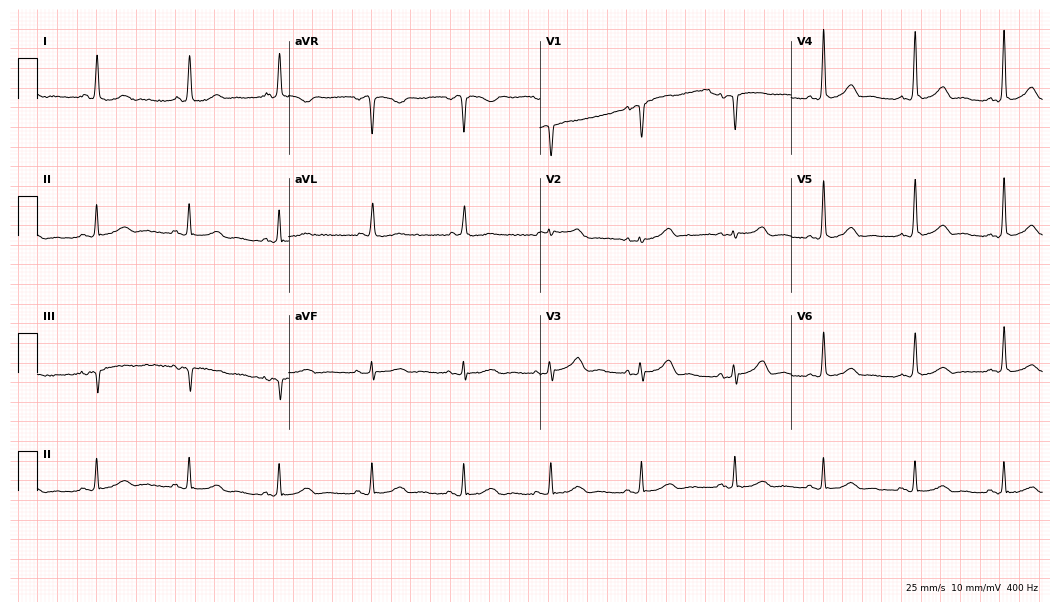
ECG — a female patient, 60 years old. Labelled as a normal ECG.